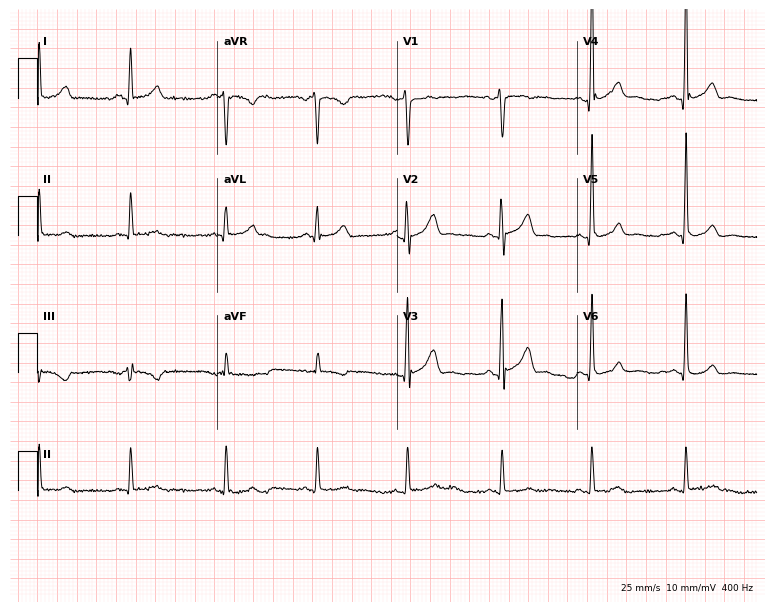
Resting 12-lead electrocardiogram. Patient: a male, 33 years old. None of these six findings is recorded: first-degree AV block, right bundle branch block, left bundle branch block, sinus bradycardia, atrial fibrillation, sinus tachycardia.